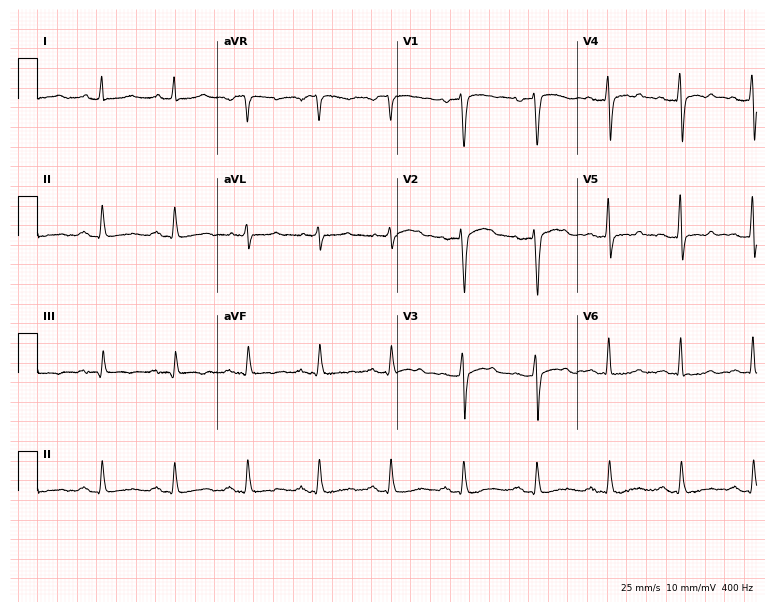
Electrocardiogram (7.3-second recording at 400 Hz), a man, 59 years old. Of the six screened findings (first-degree AV block, right bundle branch block, left bundle branch block, sinus bradycardia, atrial fibrillation, sinus tachycardia), none is recorded. Other findings, if any, are not listed.